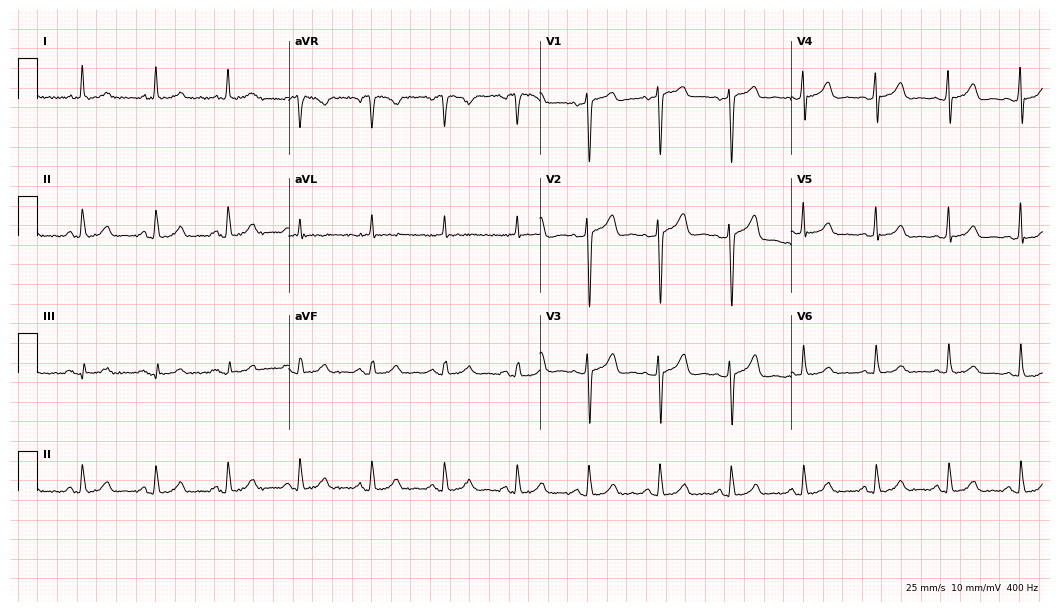
12-lead ECG from a 63-year-old female patient (10.2-second recording at 400 Hz). Recorded interpretation: within normal limits.